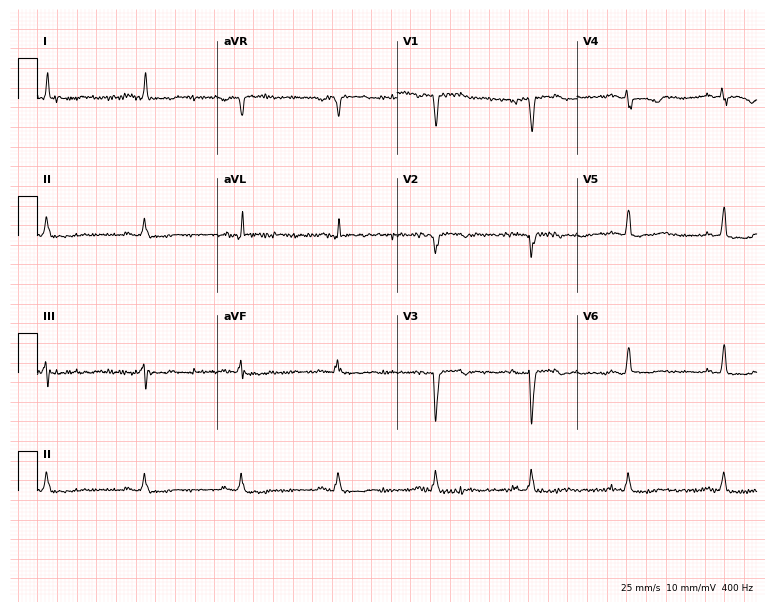
Electrocardiogram, a man, 42 years old. Of the six screened findings (first-degree AV block, right bundle branch block (RBBB), left bundle branch block (LBBB), sinus bradycardia, atrial fibrillation (AF), sinus tachycardia), none is recorded. Only these six findings were labelled.